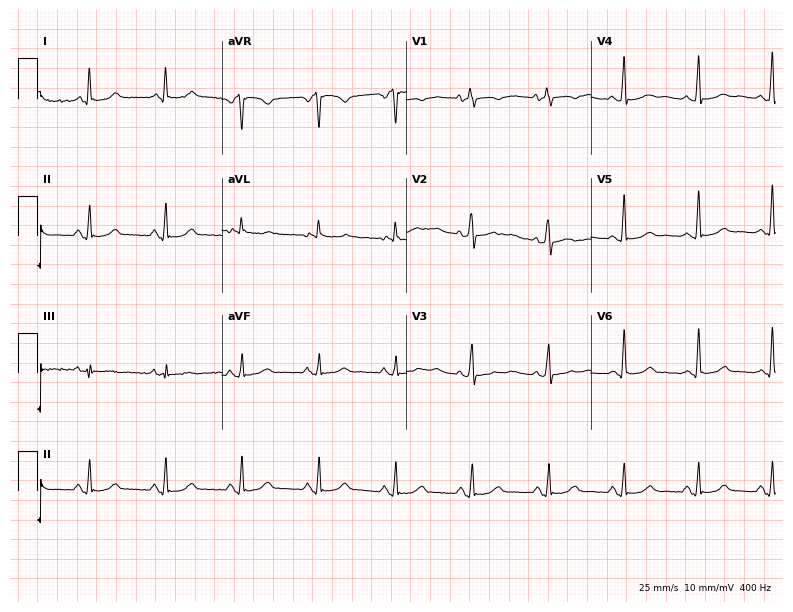
Standard 12-lead ECG recorded from a 44-year-old man. None of these six findings is recorded: first-degree AV block, right bundle branch block (RBBB), left bundle branch block (LBBB), sinus bradycardia, atrial fibrillation (AF), sinus tachycardia. Only these six findings were labelled.